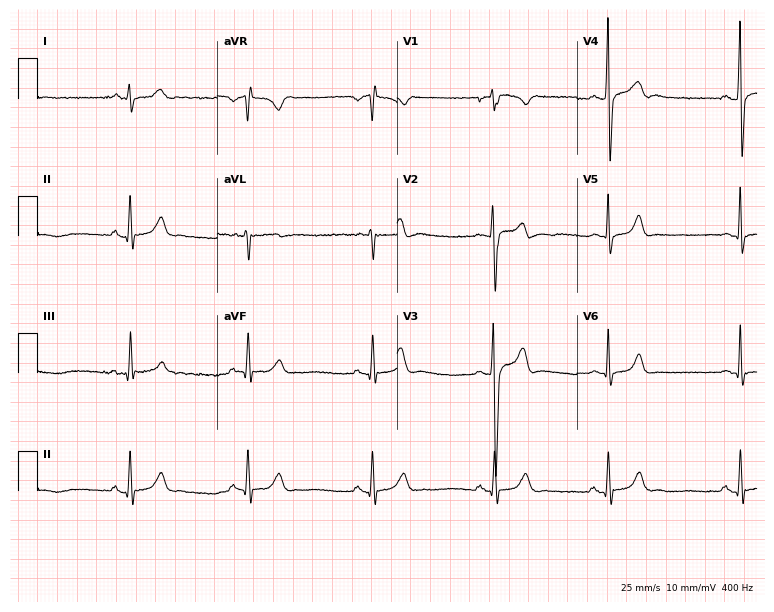
12-lead ECG from a man, 23 years old. No first-degree AV block, right bundle branch block (RBBB), left bundle branch block (LBBB), sinus bradycardia, atrial fibrillation (AF) or sinus tachycardia recorded for this tracing.